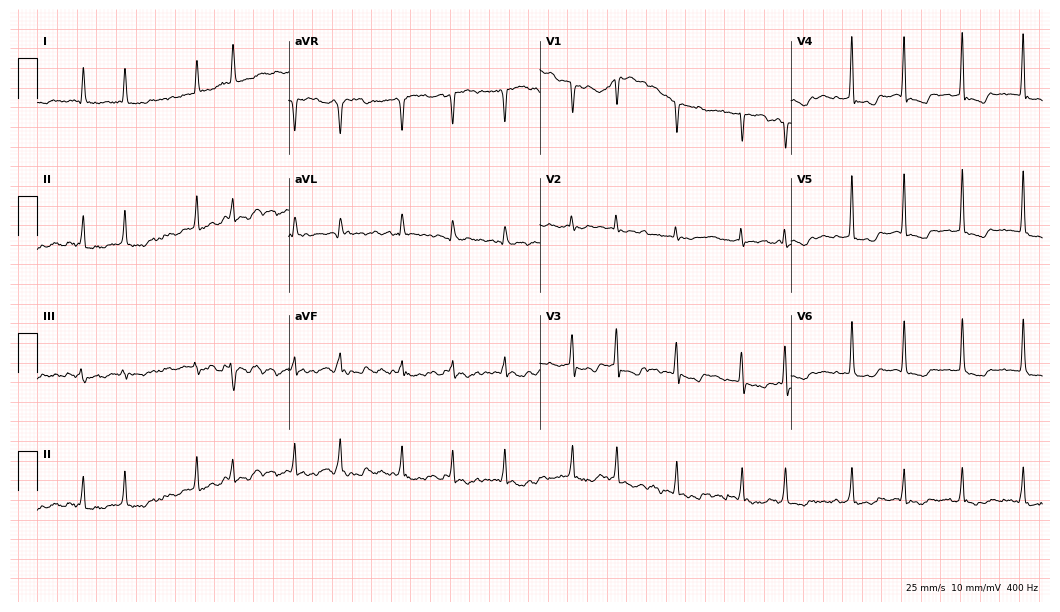
12-lead ECG from a 73-year-old woman. Findings include atrial fibrillation.